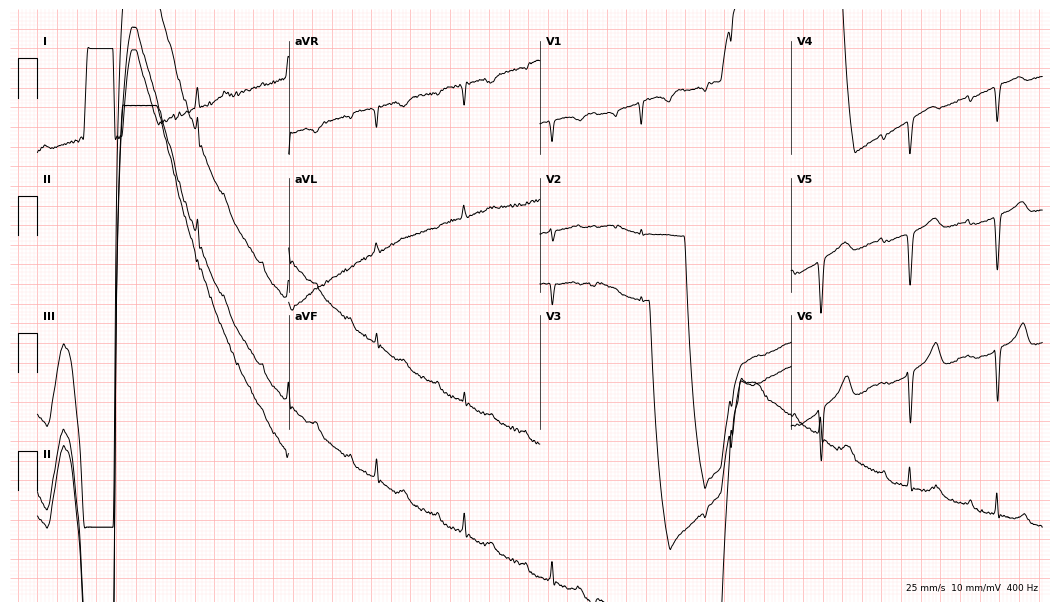
12-lead ECG from a female patient, 73 years old. Screened for six findings — first-degree AV block, right bundle branch block, left bundle branch block, sinus bradycardia, atrial fibrillation, sinus tachycardia — none is recorded.